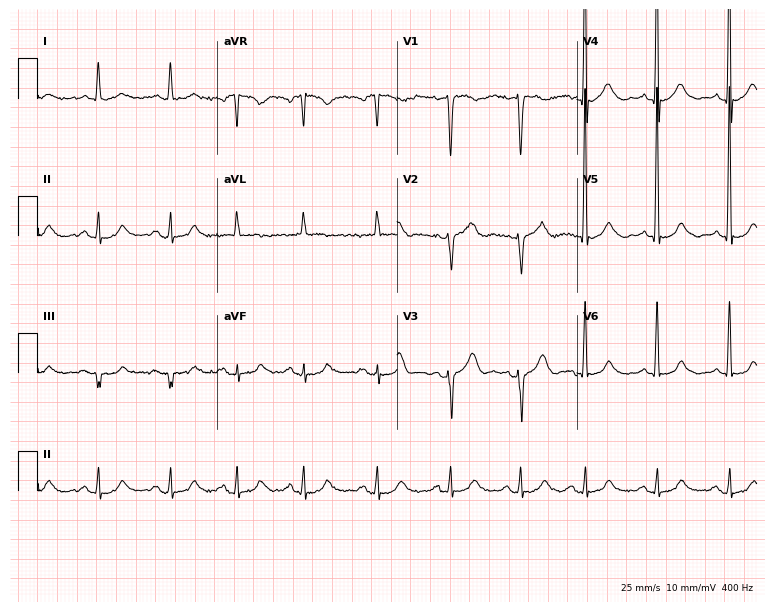
12-lead ECG (7.3-second recording at 400 Hz) from a man, 76 years old. Screened for six findings — first-degree AV block, right bundle branch block, left bundle branch block, sinus bradycardia, atrial fibrillation, sinus tachycardia — none is recorded.